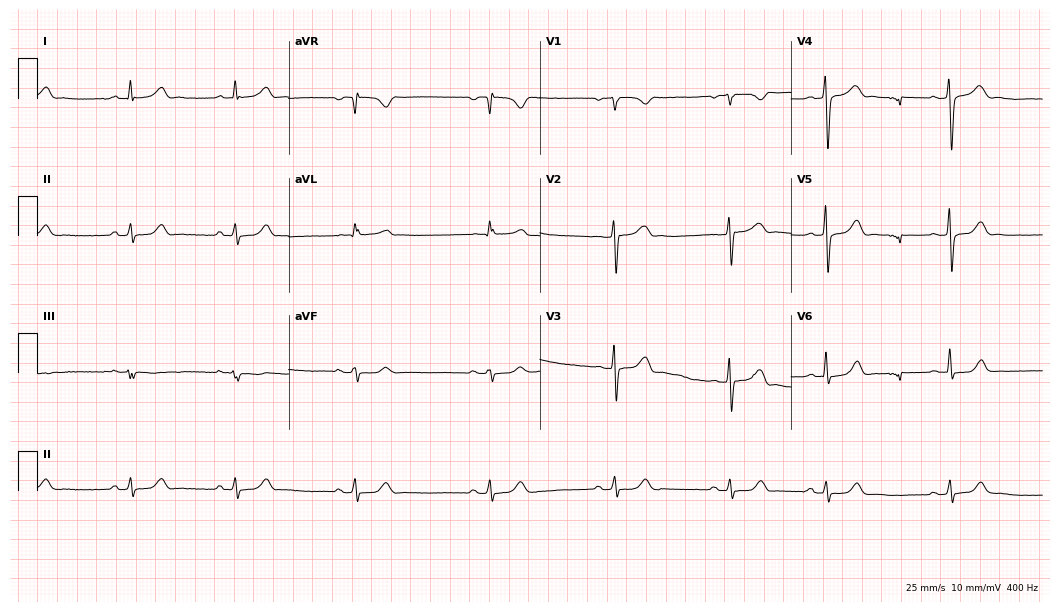
Electrocardiogram (10.2-second recording at 400 Hz), a woman, 36 years old. Of the six screened findings (first-degree AV block, right bundle branch block, left bundle branch block, sinus bradycardia, atrial fibrillation, sinus tachycardia), none is recorded. Findings outside these six are not listed.